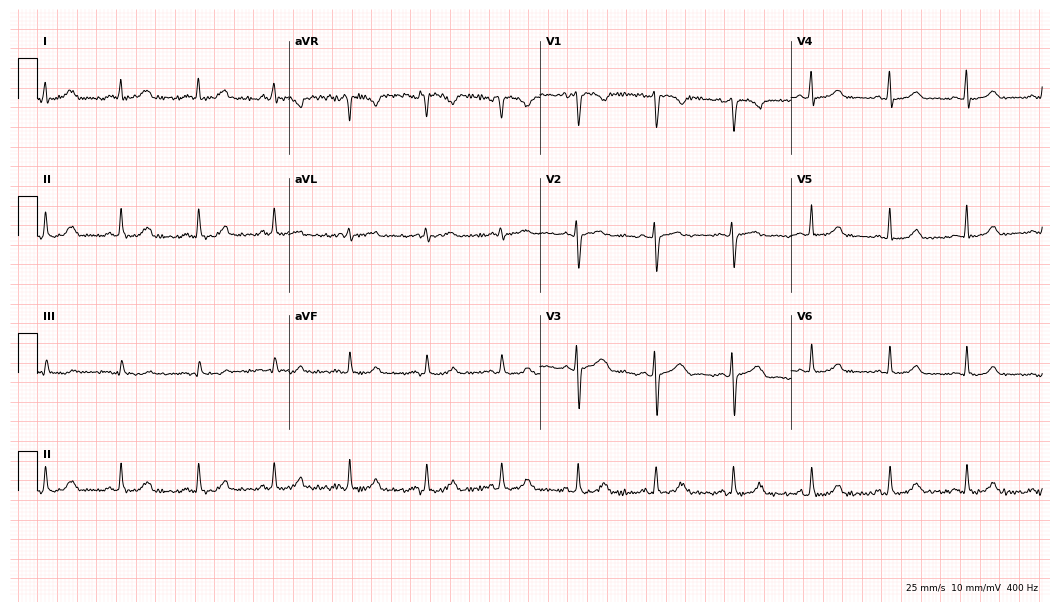
Resting 12-lead electrocardiogram. Patient: a 28-year-old female. Read as a normal ECG.